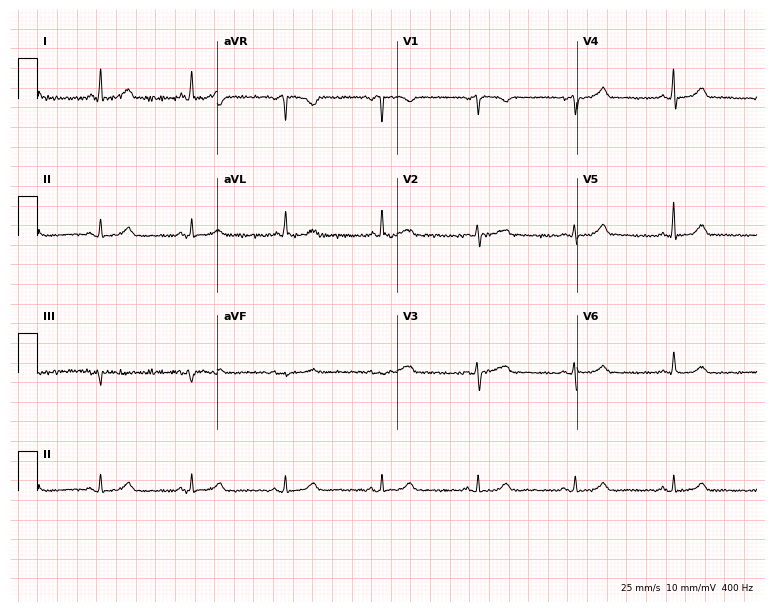
12-lead ECG from a female patient, 64 years old (7.3-second recording at 400 Hz). Recorded interpretation: within normal limits.